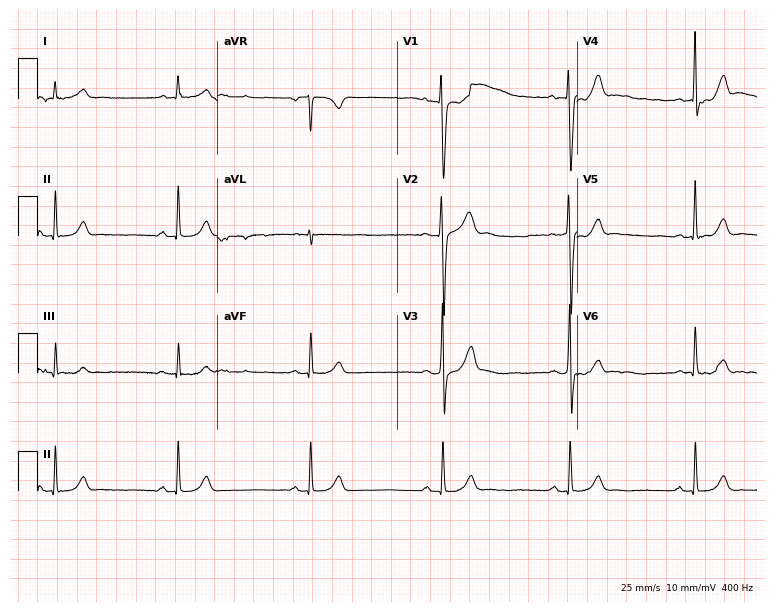
Standard 12-lead ECG recorded from an 18-year-old man (7.3-second recording at 400 Hz). None of these six findings is recorded: first-degree AV block, right bundle branch block, left bundle branch block, sinus bradycardia, atrial fibrillation, sinus tachycardia. Findings outside these six are not listed.